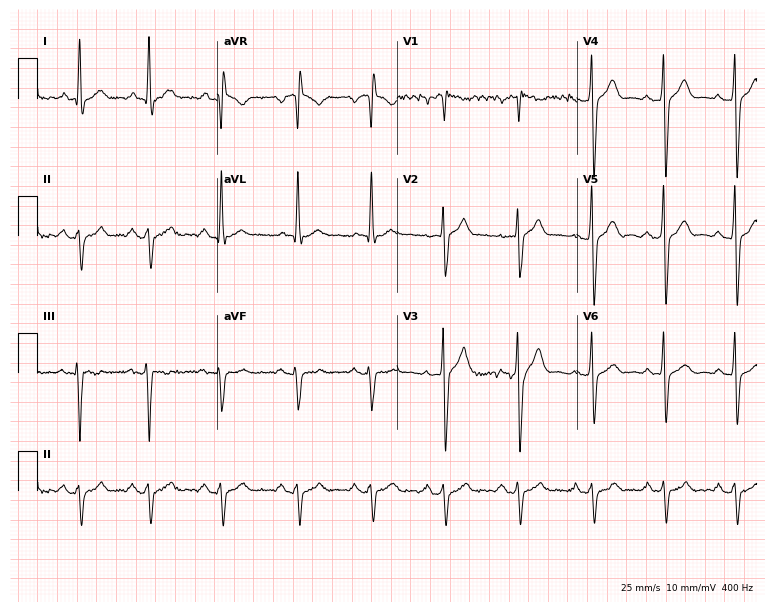
12-lead ECG from a man, 26 years old (7.3-second recording at 400 Hz). No first-degree AV block, right bundle branch block, left bundle branch block, sinus bradycardia, atrial fibrillation or sinus tachycardia recorded for this tracing. Findings outside these six are not listed.